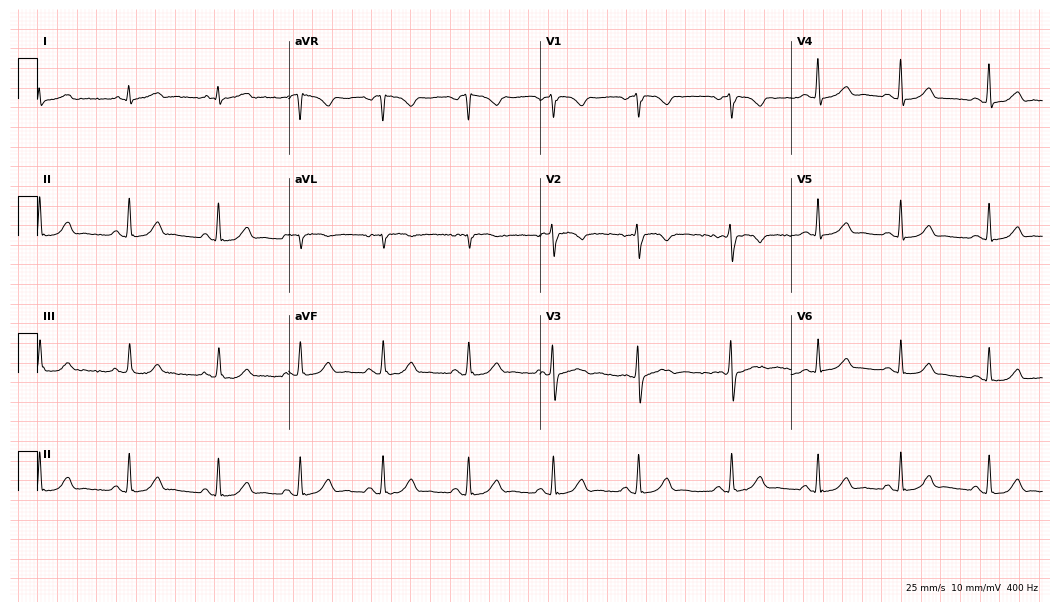
Resting 12-lead electrocardiogram (10.2-second recording at 400 Hz). Patient: a 36-year-old woman. Read as a normal ECG.